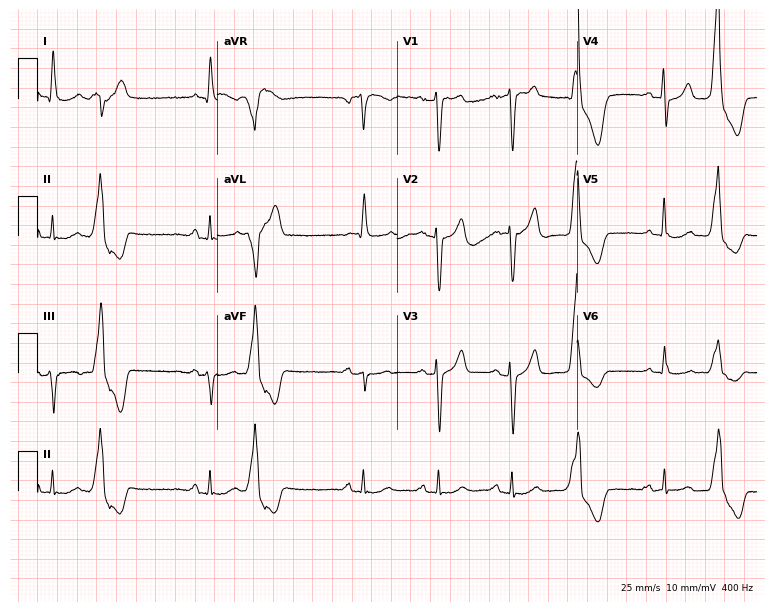
Resting 12-lead electrocardiogram (7.3-second recording at 400 Hz). Patient: a male, 63 years old. None of these six findings is recorded: first-degree AV block, right bundle branch block, left bundle branch block, sinus bradycardia, atrial fibrillation, sinus tachycardia. Only these six findings were labelled.